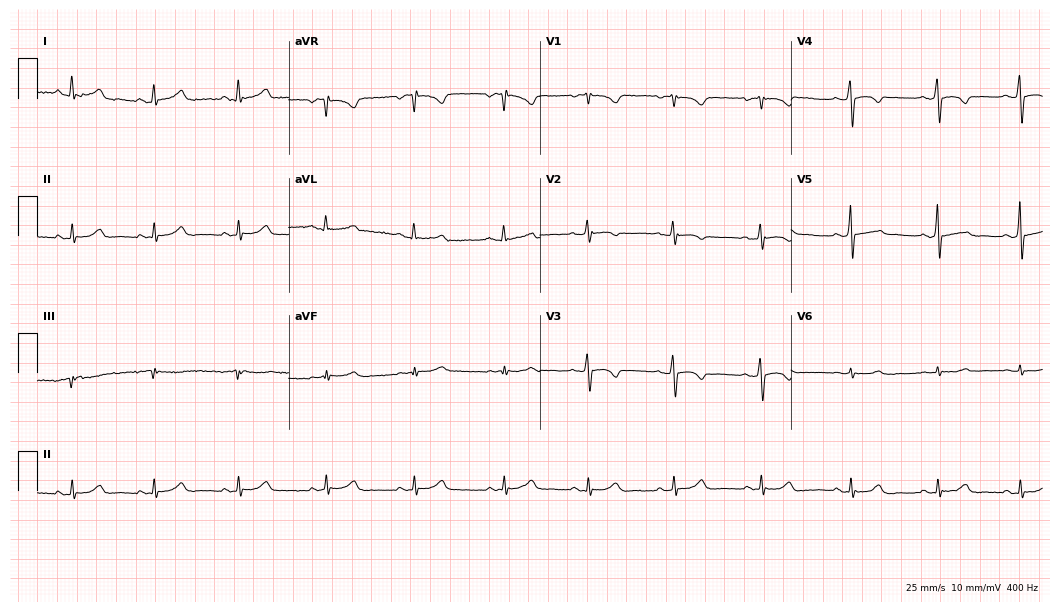
12-lead ECG from a 24-year-old female. Recorded interpretation: within normal limits.